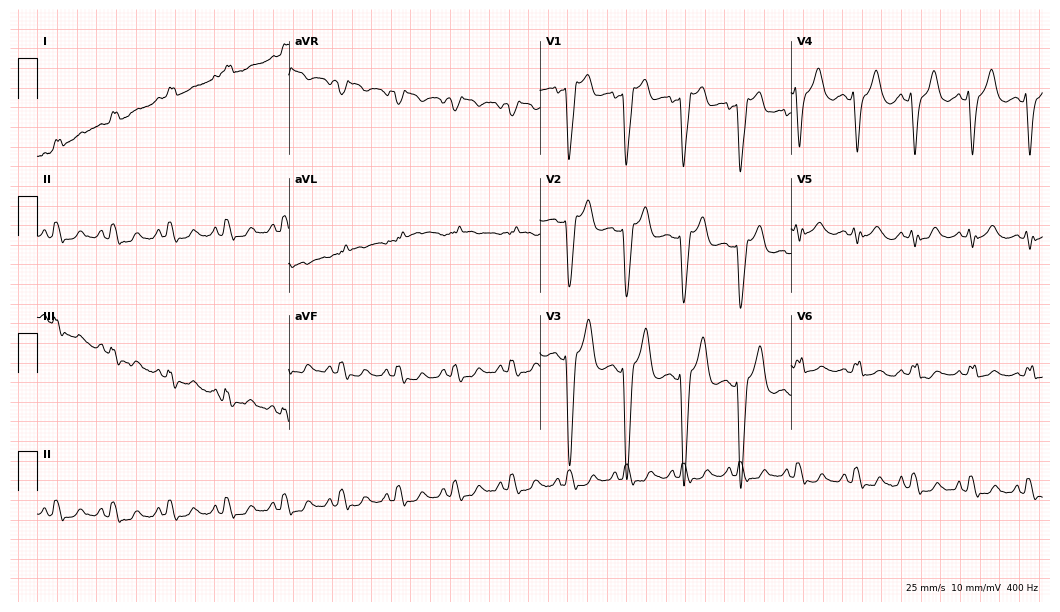
Electrocardiogram, a female patient, 67 years old. Of the six screened findings (first-degree AV block, right bundle branch block, left bundle branch block, sinus bradycardia, atrial fibrillation, sinus tachycardia), none is recorded.